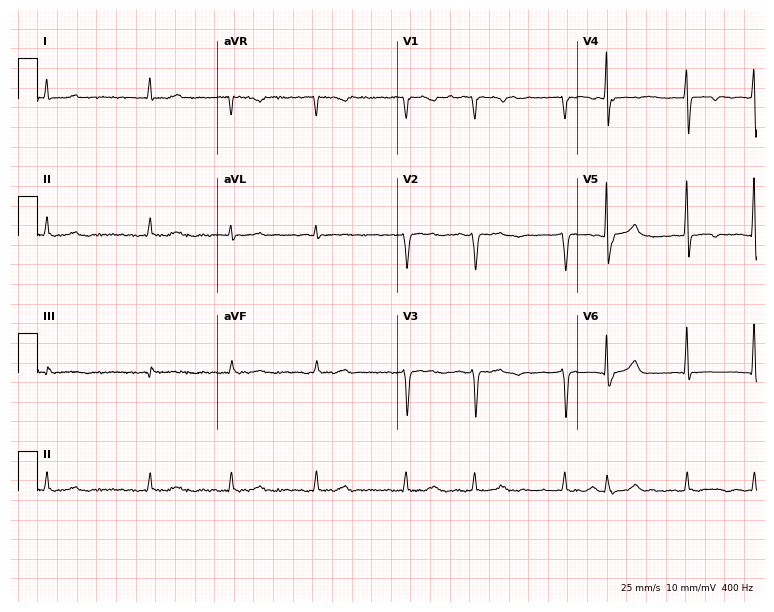
ECG (7.3-second recording at 400 Hz) — a 63-year-old female. Findings include atrial fibrillation (AF).